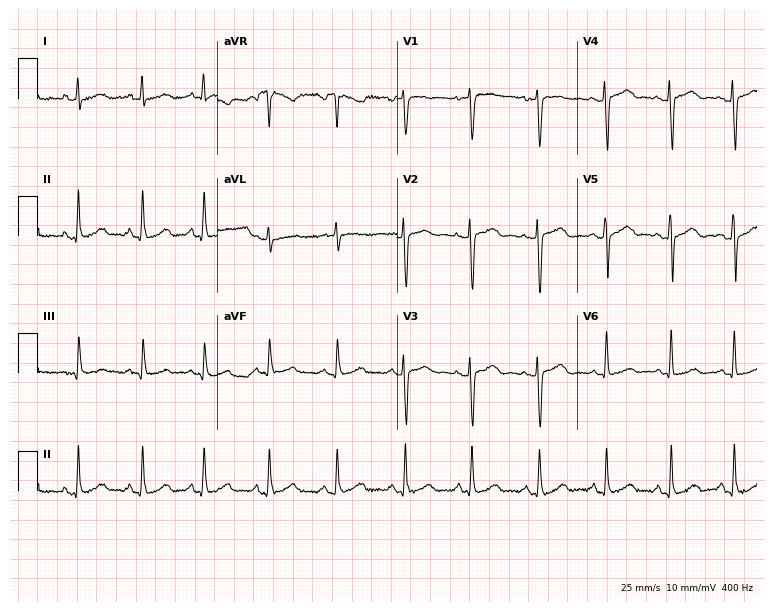
Standard 12-lead ECG recorded from a woman, 41 years old (7.3-second recording at 400 Hz). None of these six findings is recorded: first-degree AV block, right bundle branch block, left bundle branch block, sinus bradycardia, atrial fibrillation, sinus tachycardia.